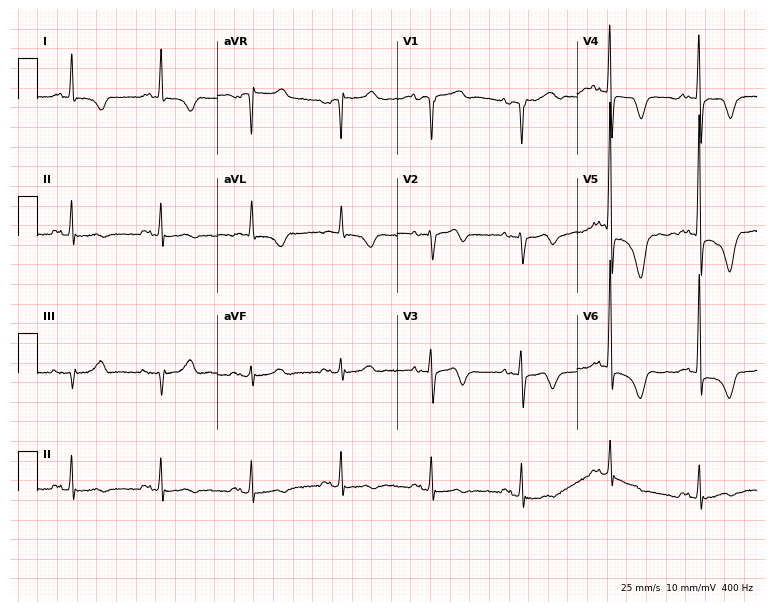
Standard 12-lead ECG recorded from a man, 78 years old. None of these six findings is recorded: first-degree AV block, right bundle branch block (RBBB), left bundle branch block (LBBB), sinus bradycardia, atrial fibrillation (AF), sinus tachycardia. Findings outside these six are not listed.